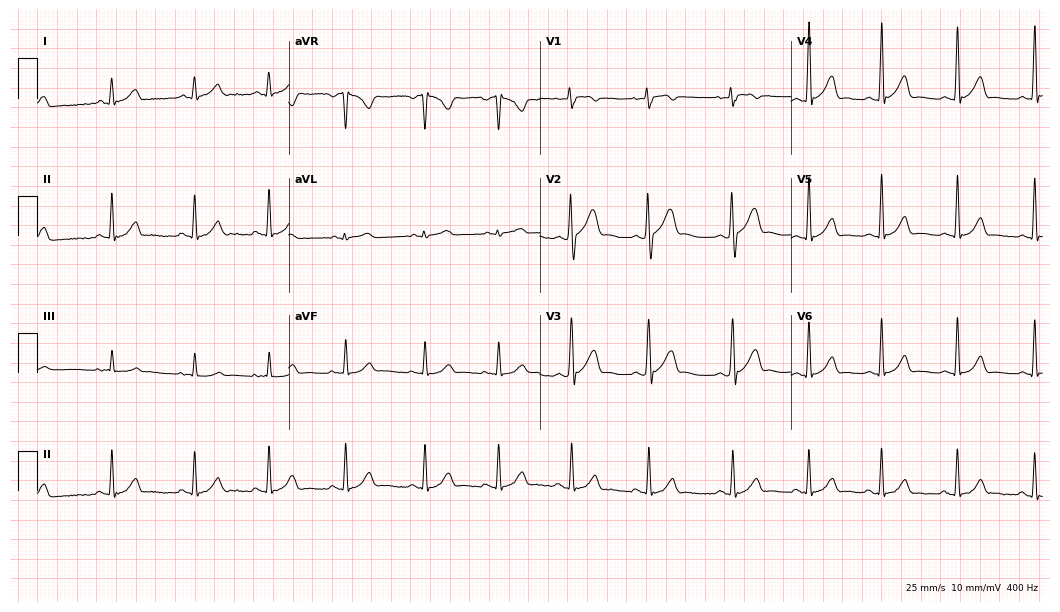
12-lead ECG from a female patient, 29 years old (10.2-second recording at 400 Hz). Recorded interpretation: within normal limits.